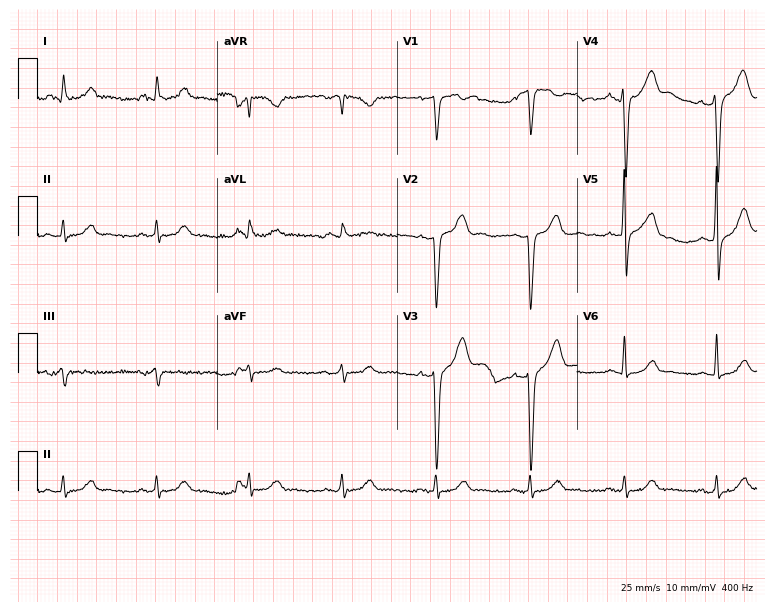
Electrocardiogram (7.3-second recording at 400 Hz), a 59-year-old male patient. Of the six screened findings (first-degree AV block, right bundle branch block, left bundle branch block, sinus bradycardia, atrial fibrillation, sinus tachycardia), none is recorded. Only these six findings were labelled.